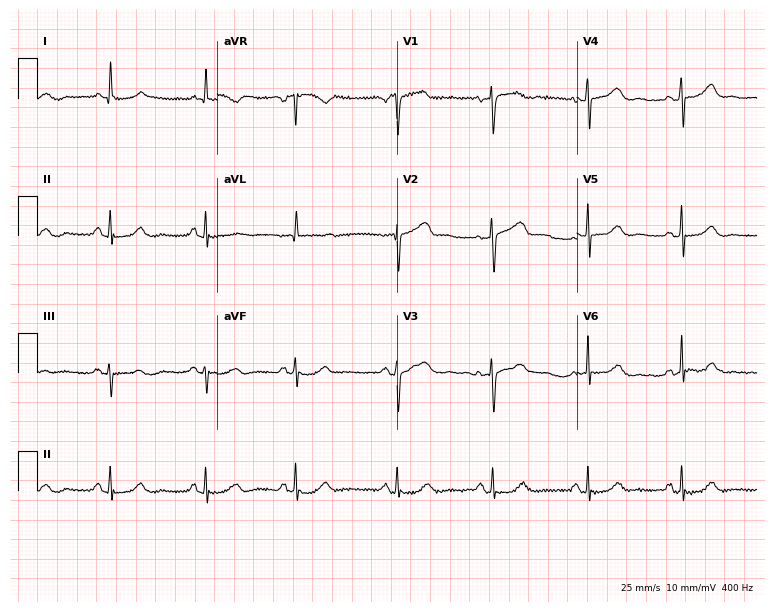
12-lead ECG (7.3-second recording at 400 Hz) from a female, 59 years old. Labelled as a normal ECG.